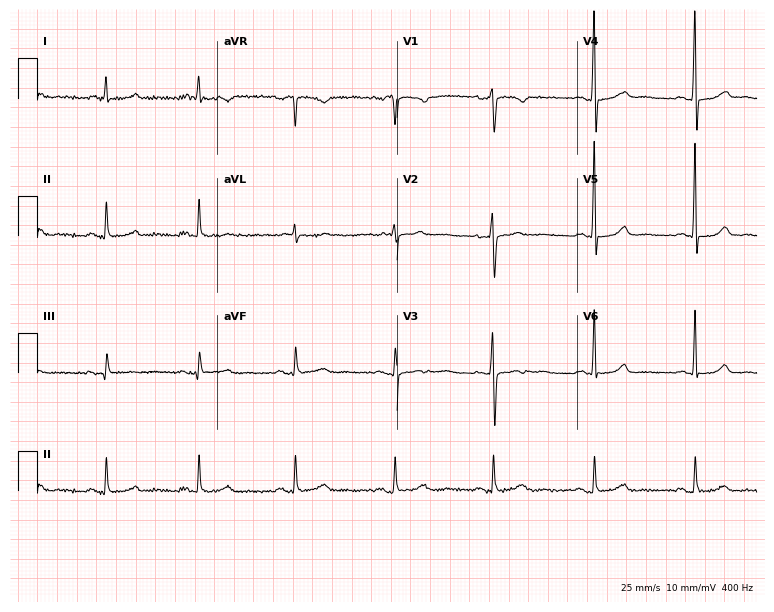
ECG (7.3-second recording at 400 Hz) — a 46-year-old female. Labelled as a normal ECG.